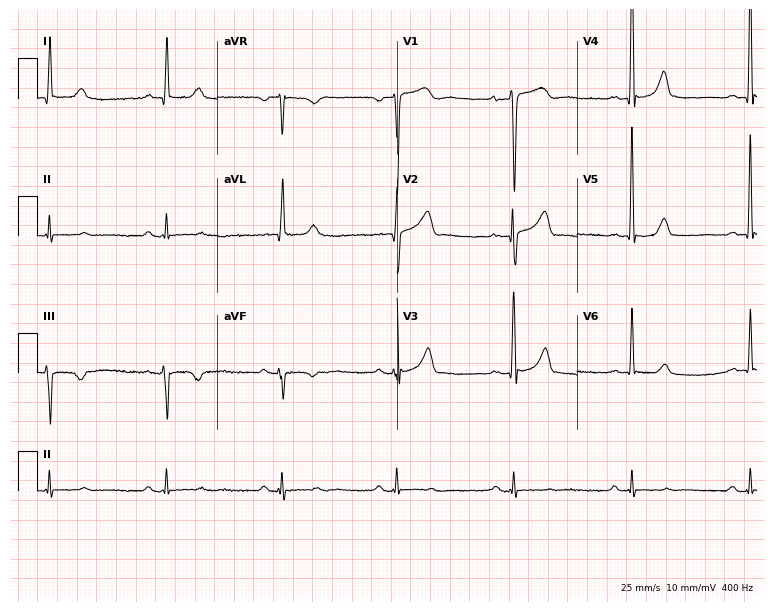
ECG (7.3-second recording at 400 Hz) — a 54-year-old man. Screened for six findings — first-degree AV block, right bundle branch block, left bundle branch block, sinus bradycardia, atrial fibrillation, sinus tachycardia — none is recorded.